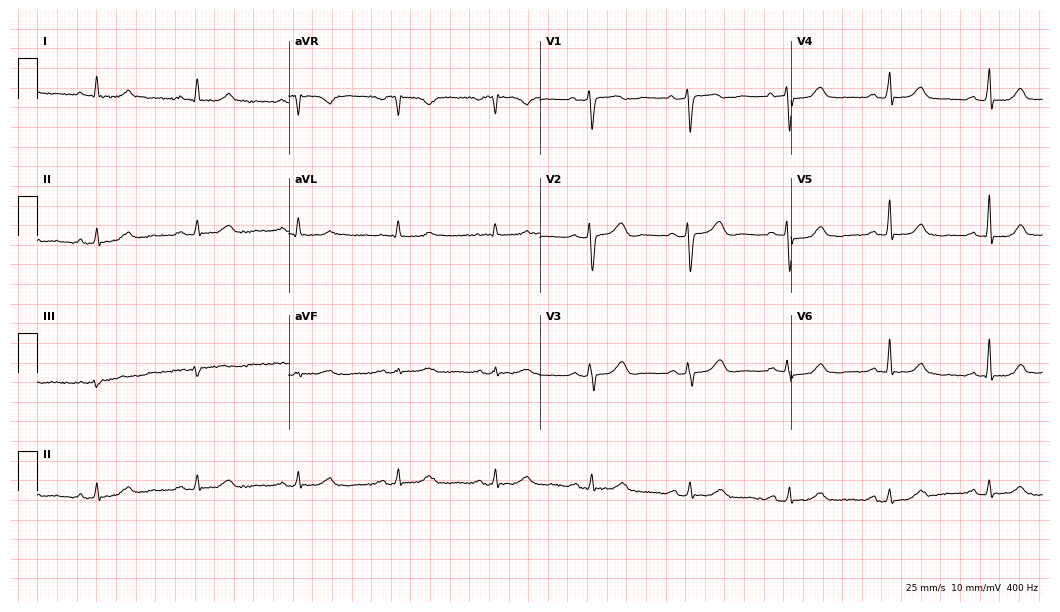
ECG (10.2-second recording at 400 Hz) — a woman, 70 years old. Screened for six findings — first-degree AV block, right bundle branch block, left bundle branch block, sinus bradycardia, atrial fibrillation, sinus tachycardia — none is recorded. Only these six findings were labelled.